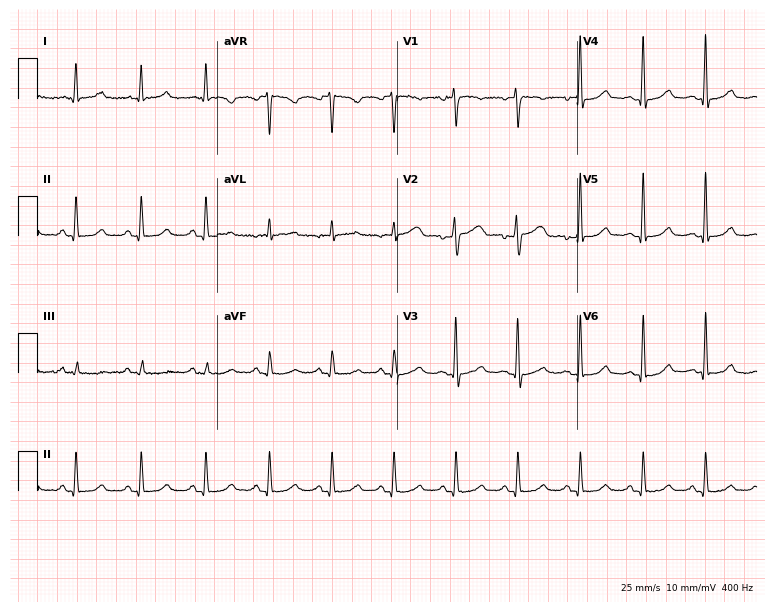
Standard 12-lead ECG recorded from a woman, 45 years old (7.3-second recording at 400 Hz). Read as a normal ECG.